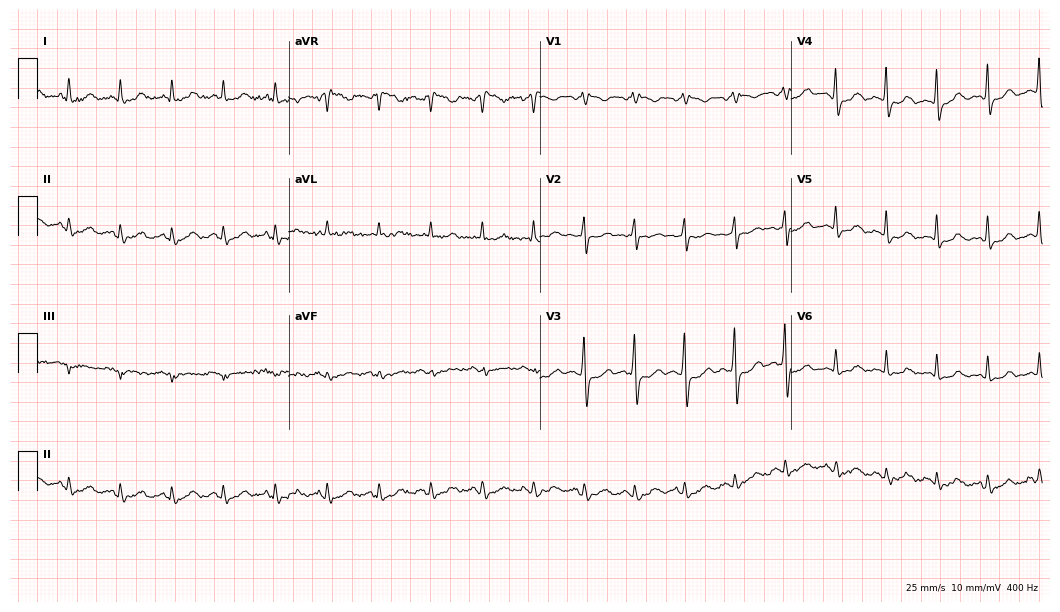
Electrocardiogram, a female, 48 years old. Interpretation includes sinus tachycardia (a sinus rate of 100 beats per minute or more).